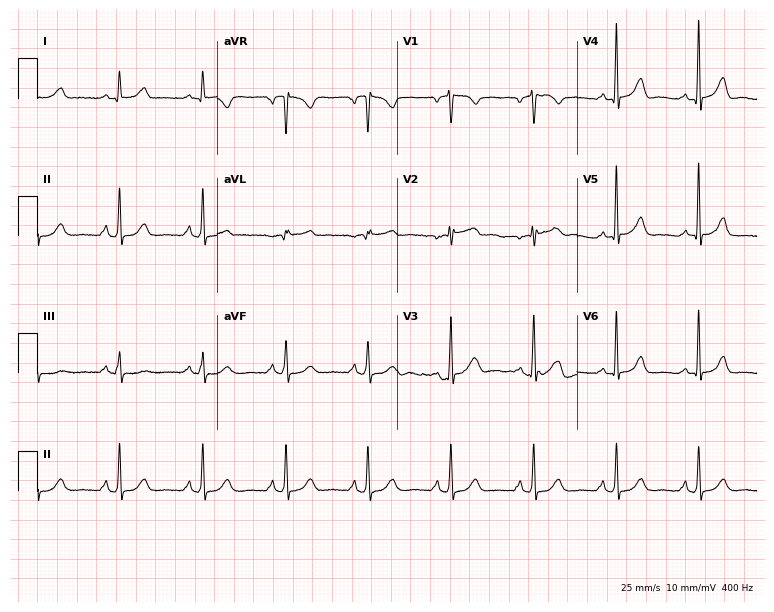
Standard 12-lead ECG recorded from a 77-year-old woman. Read as a normal ECG.